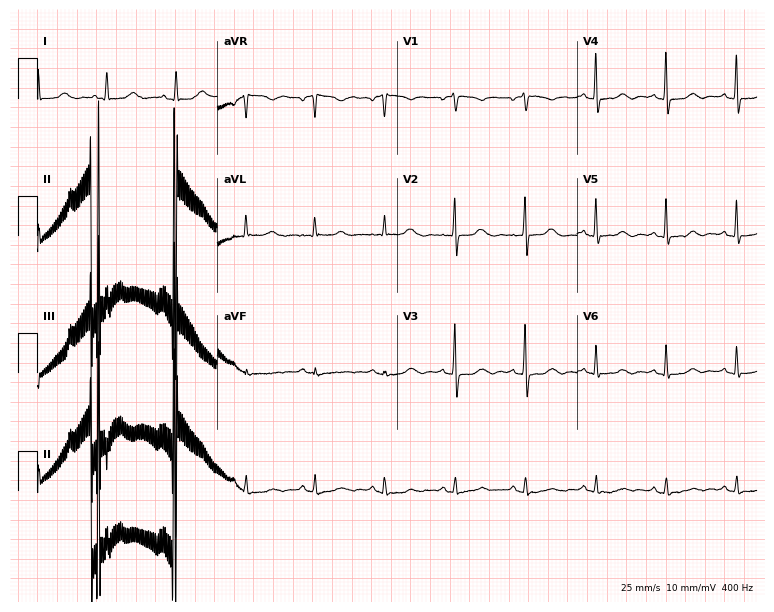
12-lead ECG from a woman, 78 years old. No first-degree AV block, right bundle branch block (RBBB), left bundle branch block (LBBB), sinus bradycardia, atrial fibrillation (AF) or sinus tachycardia recorded for this tracing. Only these six findings were labelled.